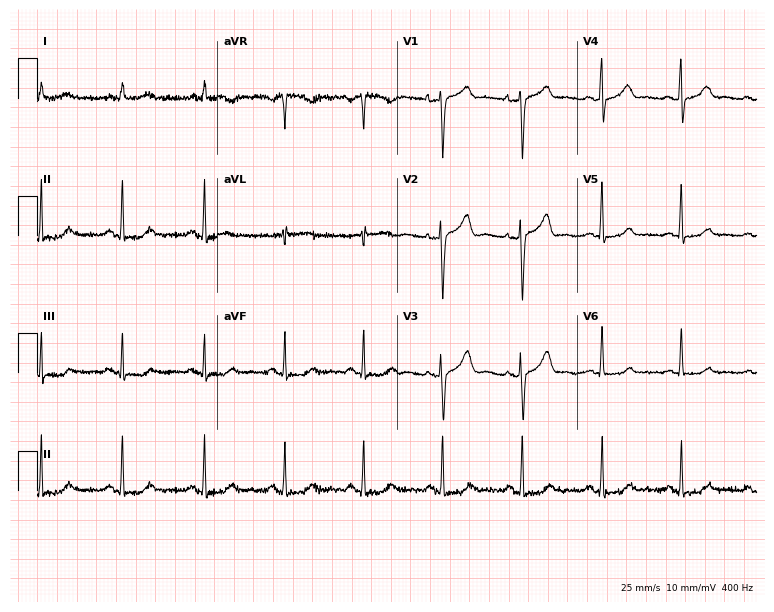
Standard 12-lead ECG recorded from a 57-year-old female patient (7.3-second recording at 400 Hz). None of these six findings is recorded: first-degree AV block, right bundle branch block (RBBB), left bundle branch block (LBBB), sinus bradycardia, atrial fibrillation (AF), sinus tachycardia. Other findings, if any, are not listed.